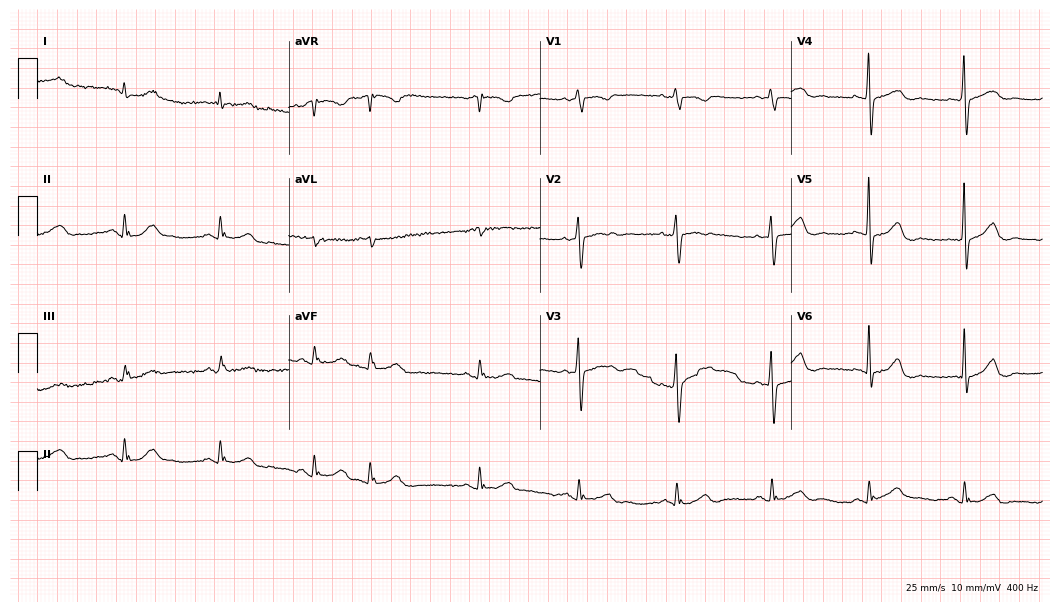
Standard 12-lead ECG recorded from a male patient, 80 years old (10.2-second recording at 400 Hz). Read as a normal ECG.